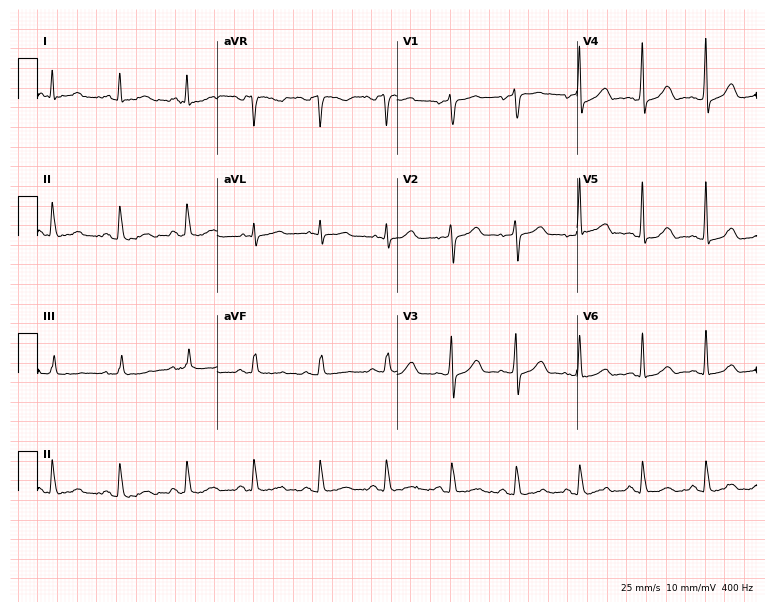
12-lead ECG from a male, 58 years old. Screened for six findings — first-degree AV block, right bundle branch block, left bundle branch block, sinus bradycardia, atrial fibrillation, sinus tachycardia — none is recorded. Only these six findings were labelled.